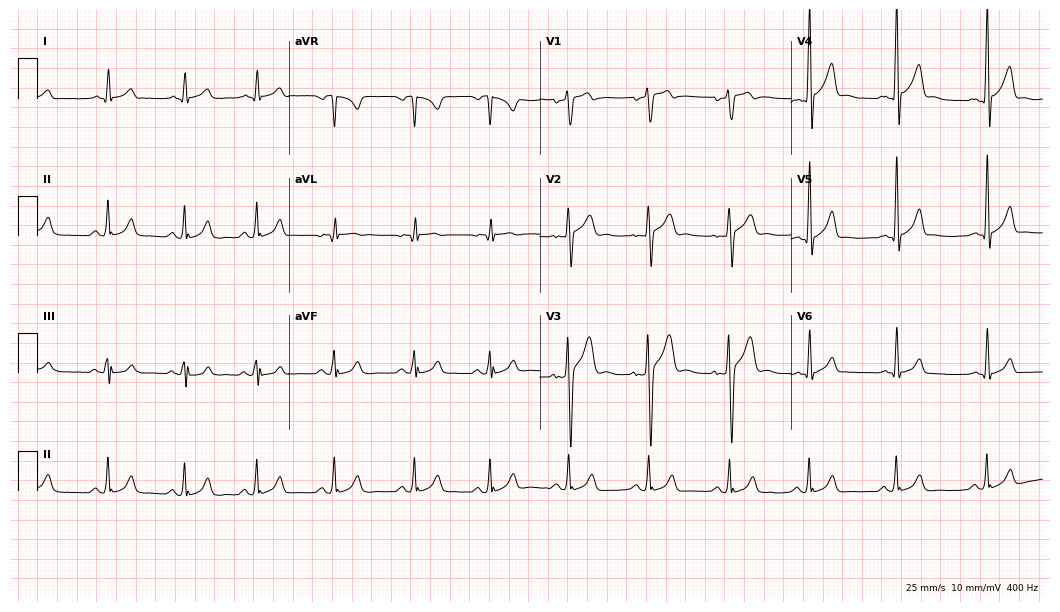
Resting 12-lead electrocardiogram. Patient: a female, 19 years old. None of these six findings is recorded: first-degree AV block, right bundle branch block (RBBB), left bundle branch block (LBBB), sinus bradycardia, atrial fibrillation (AF), sinus tachycardia. Findings outside these six are not listed.